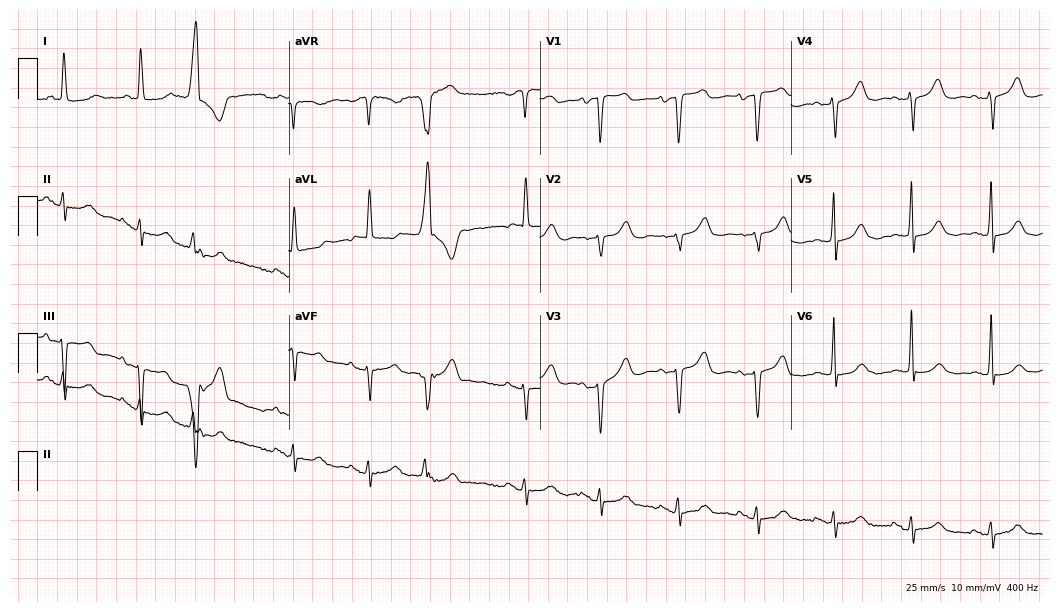
Resting 12-lead electrocardiogram. Patient: an 81-year-old female. None of these six findings is recorded: first-degree AV block, right bundle branch block, left bundle branch block, sinus bradycardia, atrial fibrillation, sinus tachycardia. Other findings, if any, are not listed.